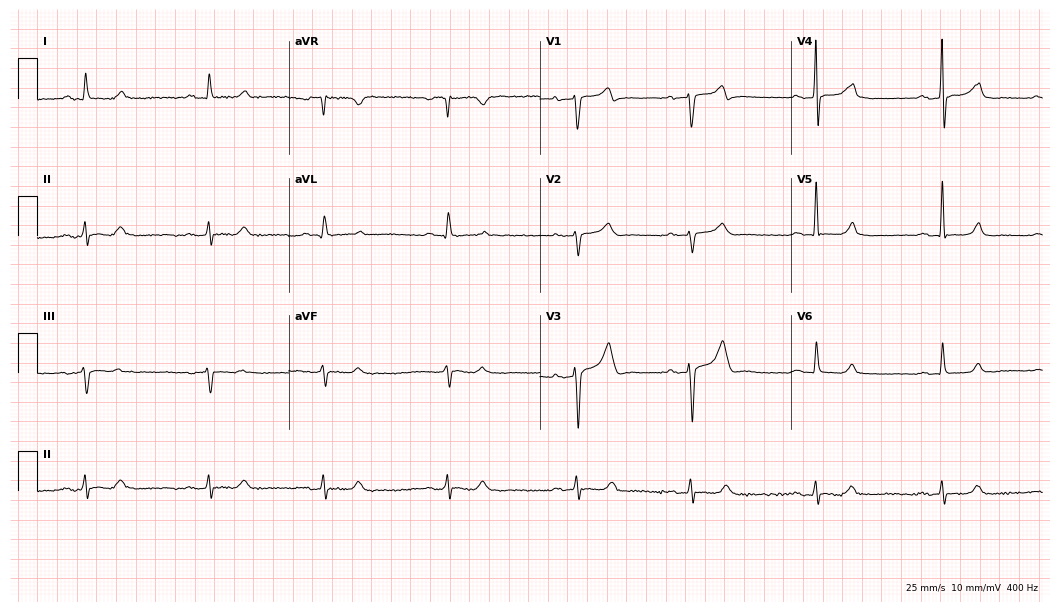
12-lead ECG from a 63-year-old male. Findings include sinus bradycardia (a sinus rate of 50 beats per minute or less).